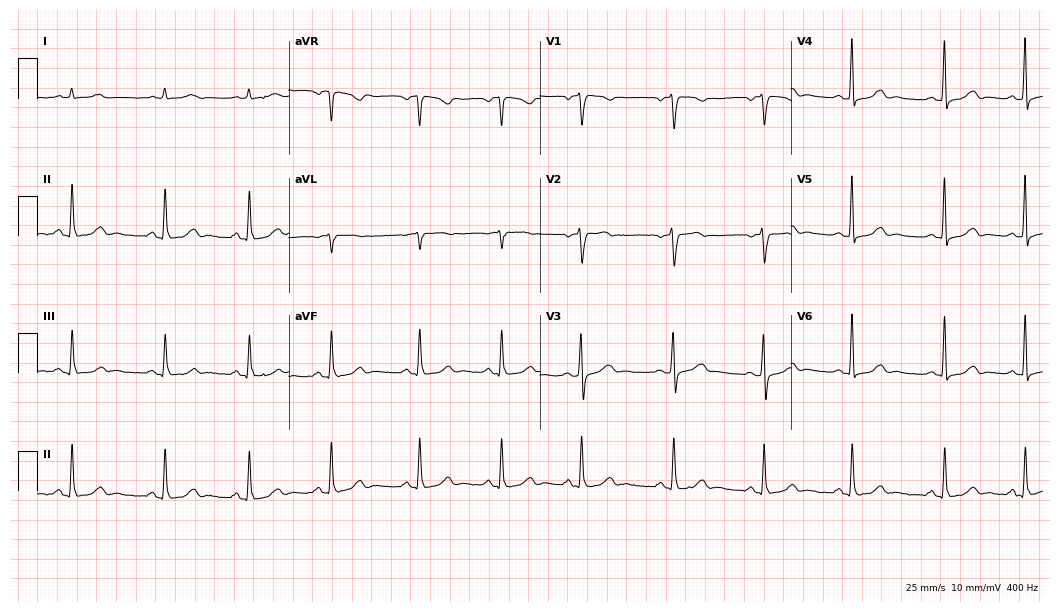
Resting 12-lead electrocardiogram. Patient: a man, 35 years old. Read as a normal ECG.